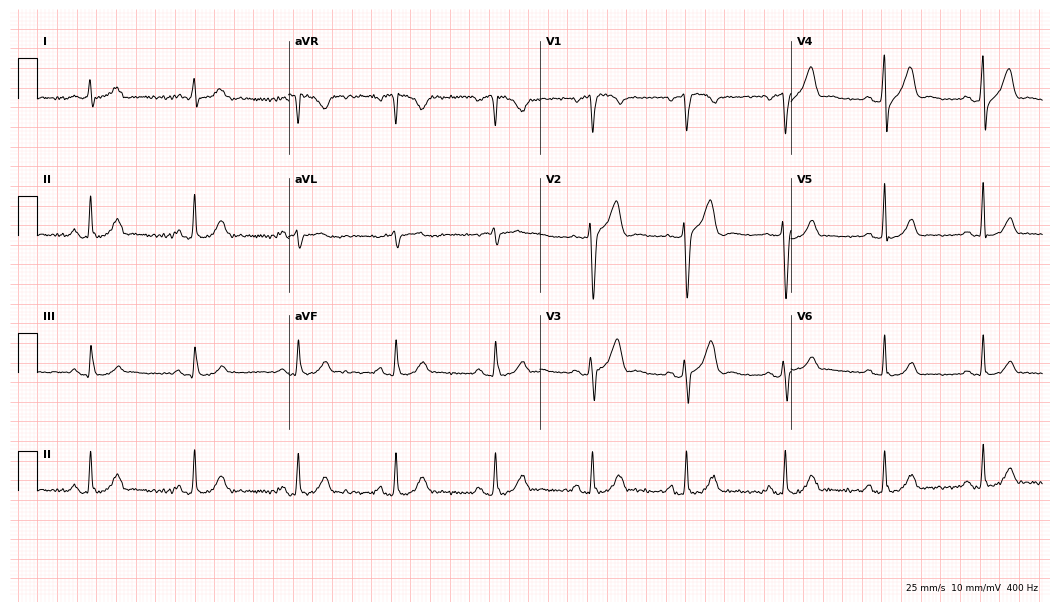
ECG — a 37-year-old man. Screened for six findings — first-degree AV block, right bundle branch block (RBBB), left bundle branch block (LBBB), sinus bradycardia, atrial fibrillation (AF), sinus tachycardia — none is recorded.